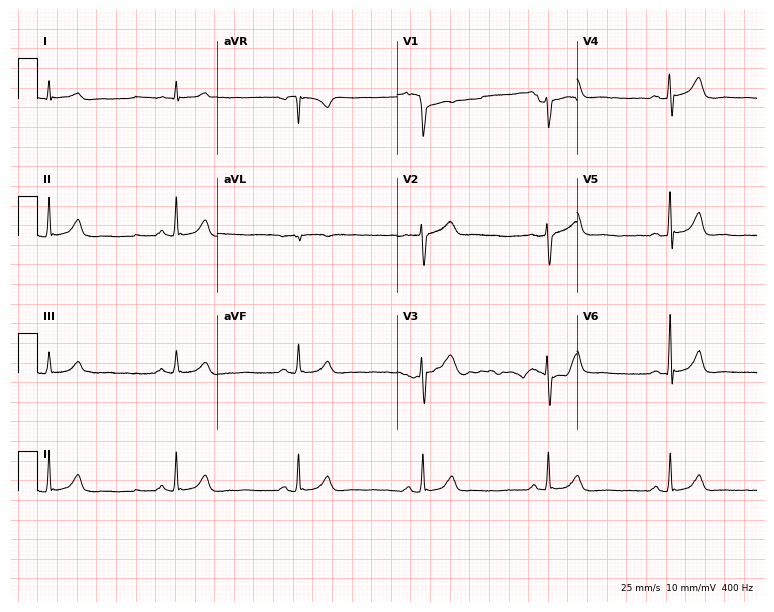
Resting 12-lead electrocardiogram. Patient: a 61-year-old man. The tracing shows sinus bradycardia (a sinus rate of 50 beats per minute or less).